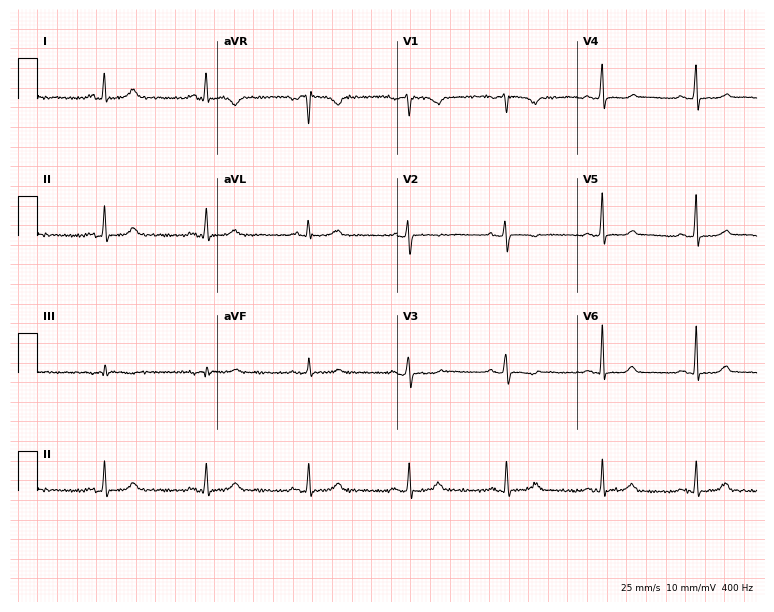
Resting 12-lead electrocardiogram. Patient: a 42-year-old woman. None of these six findings is recorded: first-degree AV block, right bundle branch block (RBBB), left bundle branch block (LBBB), sinus bradycardia, atrial fibrillation (AF), sinus tachycardia. Other findings, if any, are not listed.